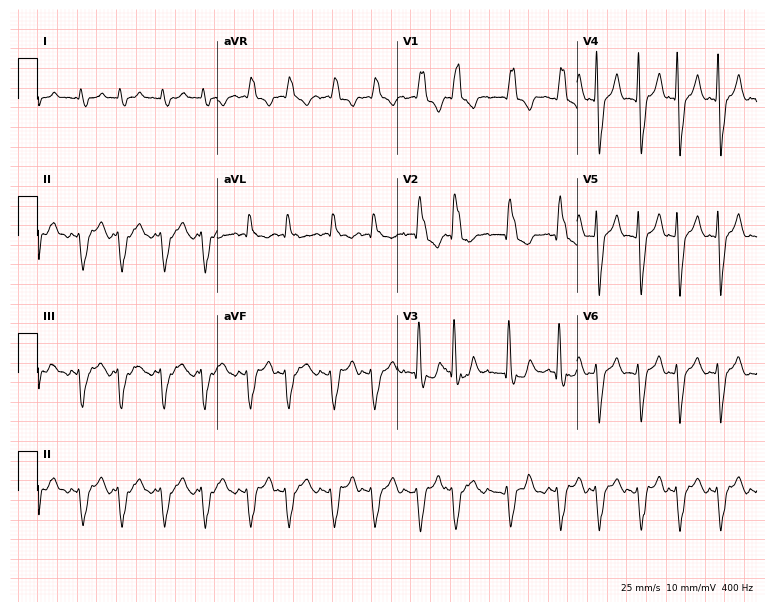
Standard 12-lead ECG recorded from a male patient, 82 years old. The tracing shows right bundle branch block, sinus tachycardia (a sinus rate of 100 beats per minute or more).